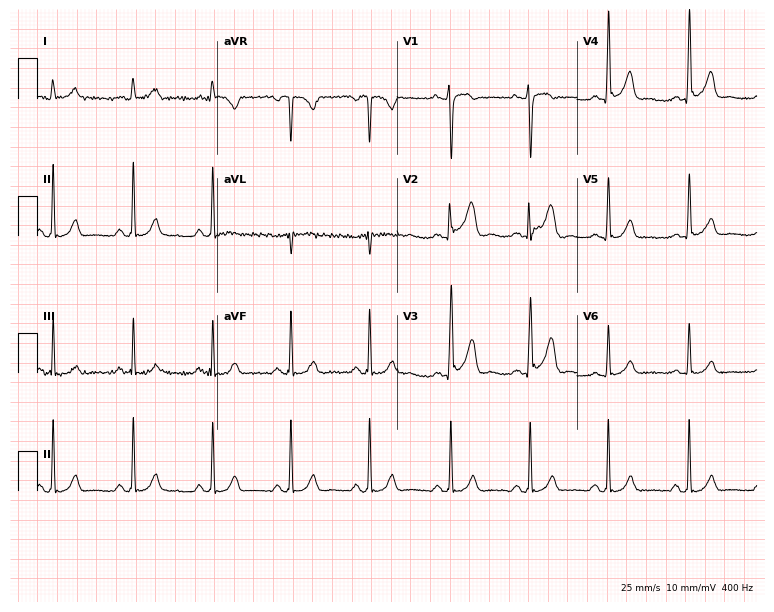
Electrocardiogram, a male, 28 years old. Of the six screened findings (first-degree AV block, right bundle branch block, left bundle branch block, sinus bradycardia, atrial fibrillation, sinus tachycardia), none is recorded. Findings outside these six are not listed.